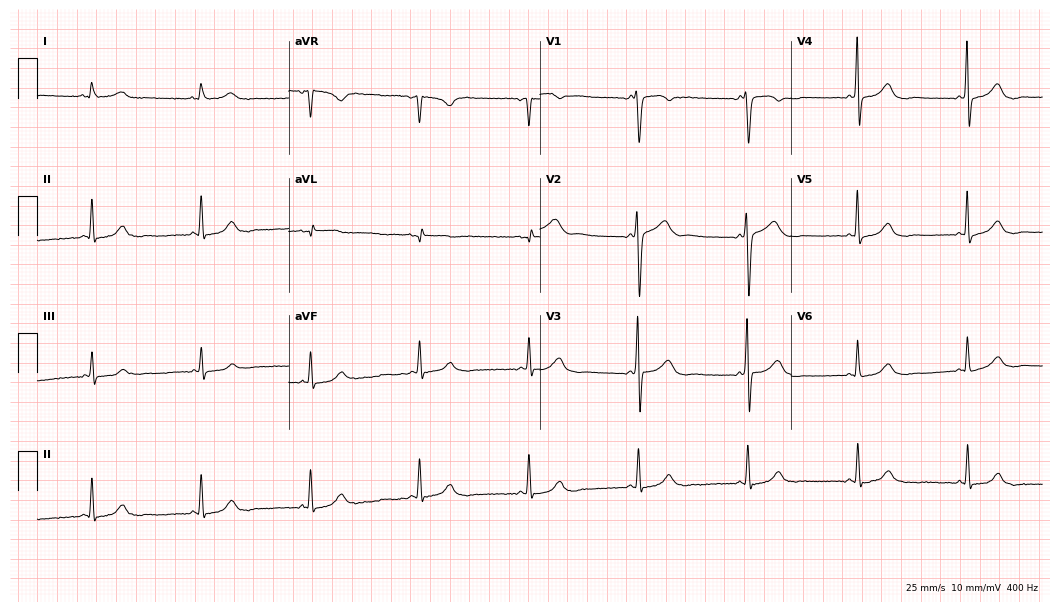
12-lead ECG (10.2-second recording at 400 Hz) from a 59-year-old male. Screened for six findings — first-degree AV block, right bundle branch block, left bundle branch block, sinus bradycardia, atrial fibrillation, sinus tachycardia — none is recorded. Only these six findings were labelled.